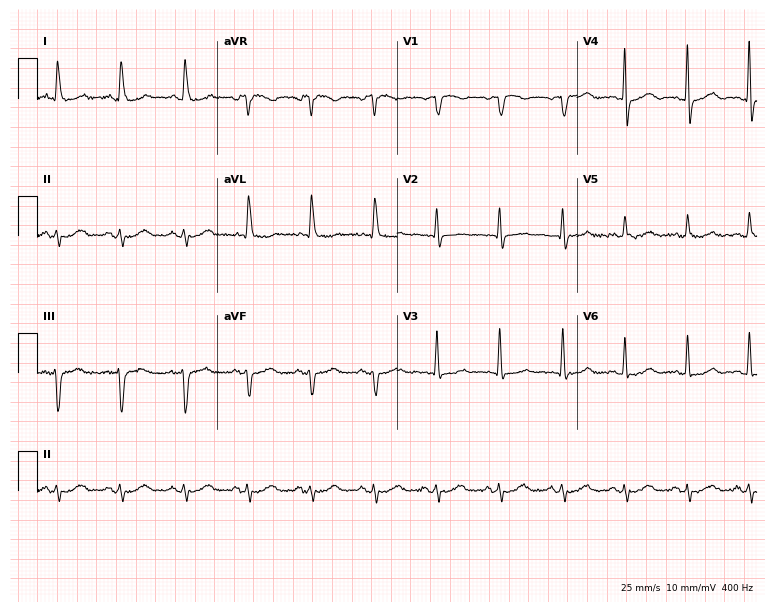
Resting 12-lead electrocardiogram. Patient: a woman, 67 years old. None of these six findings is recorded: first-degree AV block, right bundle branch block (RBBB), left bundle branch block (LBBB), sinus bradycardia, atrial fibrillation (AF), sinus tachycardia. Only these six findings were labelled.